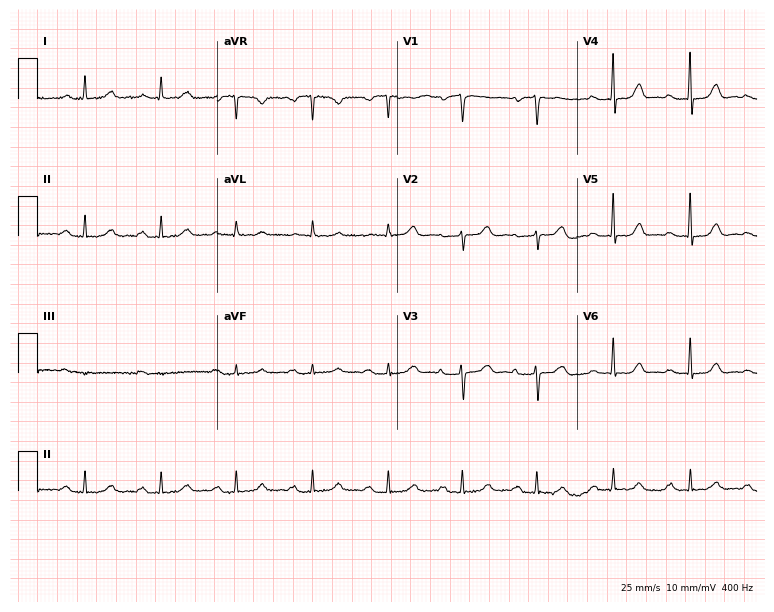
ECG (7.3-second recording at 400 Hz) — a 61-year-old female. Findings include first-degree AV block.